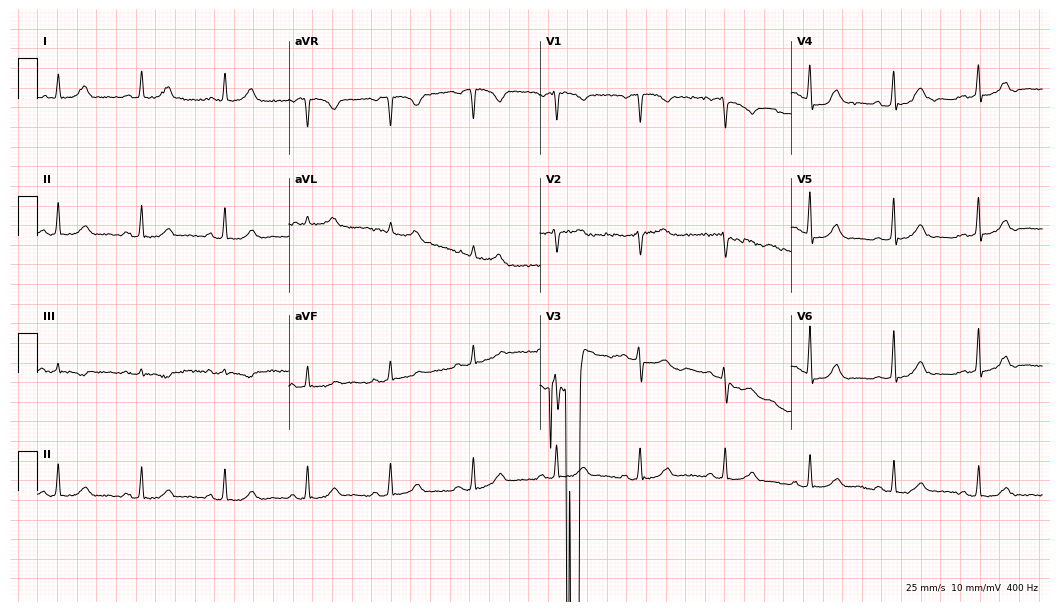
12-lead ECG (10.2-second recording at 400 Hz) from a 51-year-old female patient. Screened for six findings — first-degree AV block, right bundle branch block, left bundle branch block, sinus bradycardia, atrial fibrillation, sinus tachycardia — none is recorded.